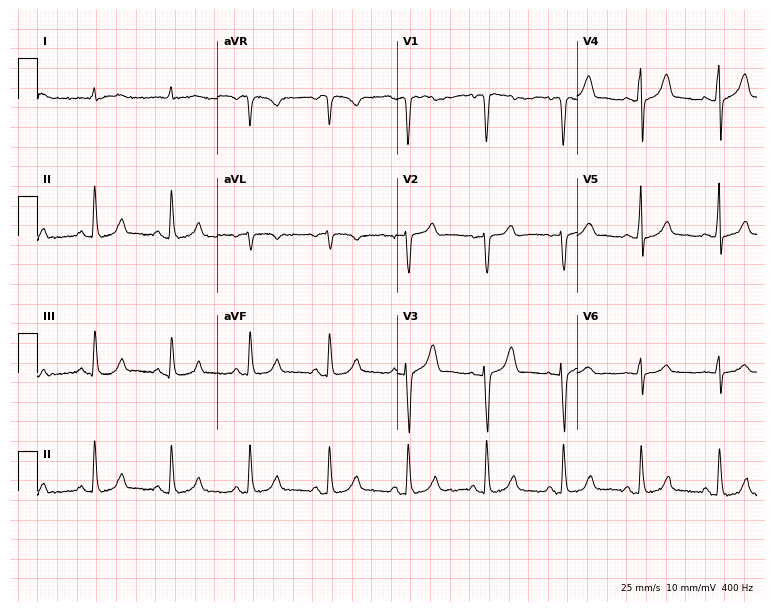
Standard 12-lead ECG recorded from an 85-year-old man (7.3-second recording at 400 Hz). Read as a normal ECG.